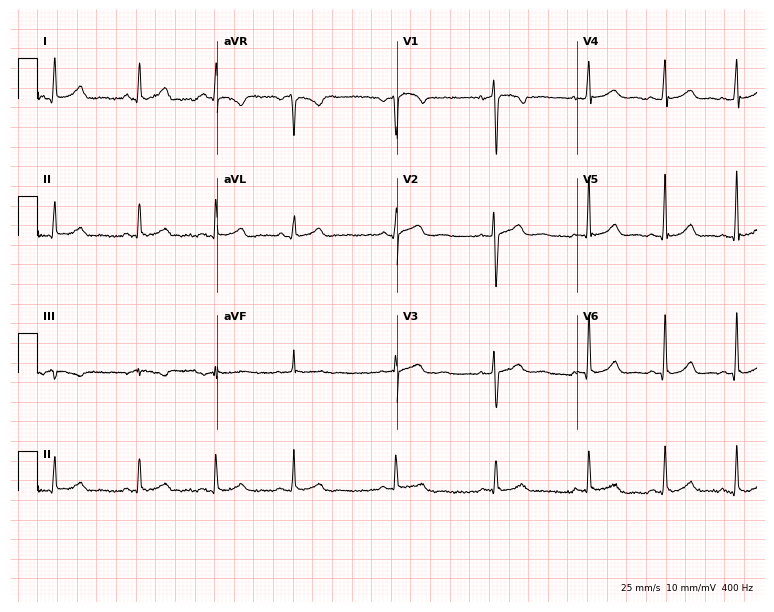
Resting 12-lead electrocardiogram (7.3-second recording at 400 Hz). Patient: a 38-year-old female. Read as a normal ECG.